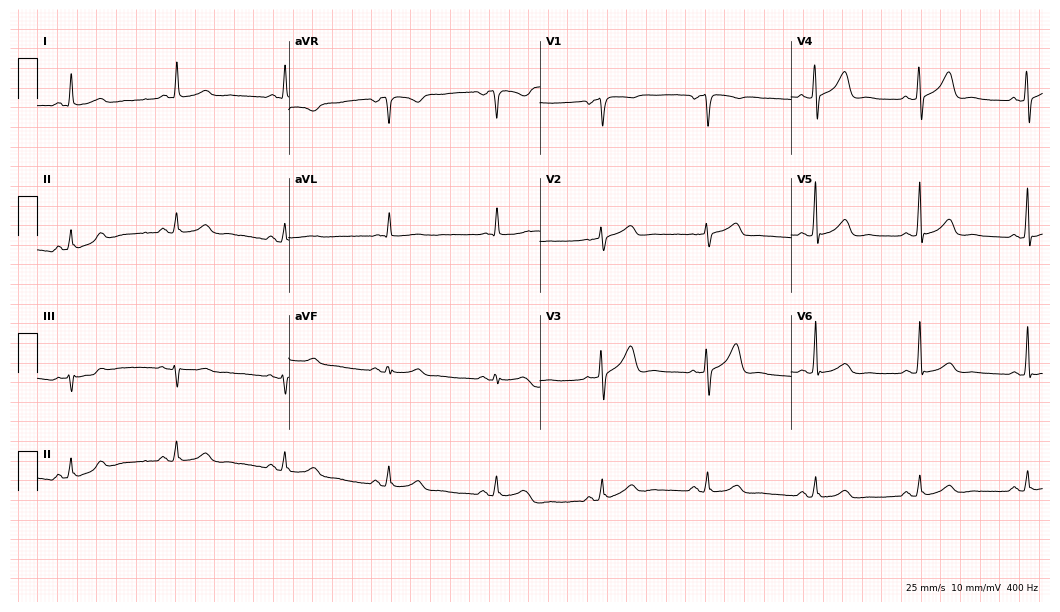
Standard 12-lead ECG recorded from a male patient, 67 years old (10.2-second recording at 400 Hz). Read as a normal ECG.